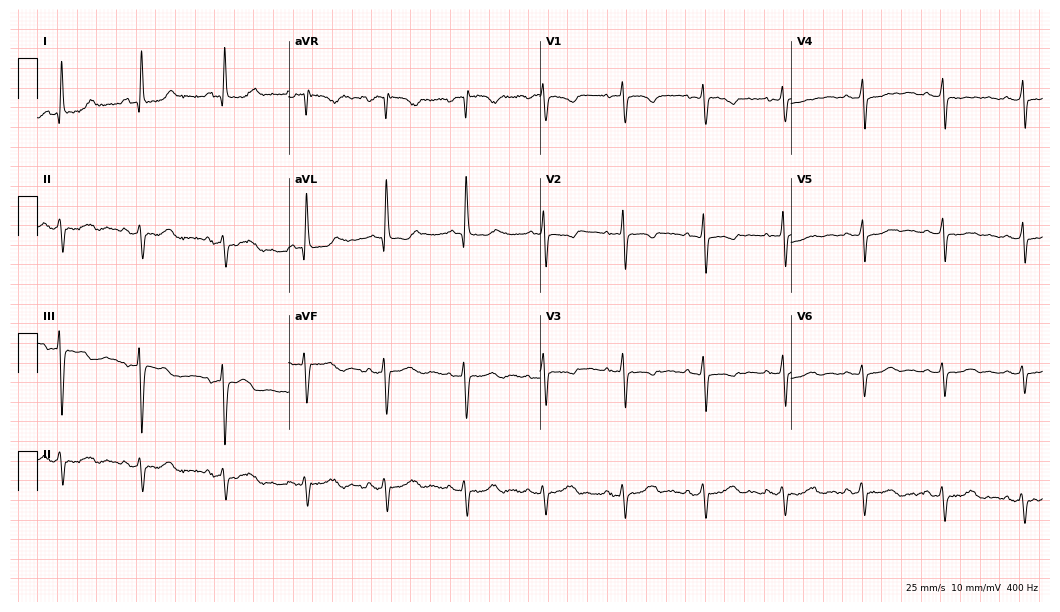
Resting 12-lead electrocardiogram. Patient: a 53-year-old female. None of these six findings is recorded: first-degree AV block, right bundle branch block, left bundle branch block, sinus bradycardia, atrial fibrillation, sinus tachycardia. Only these six findings were labelled.